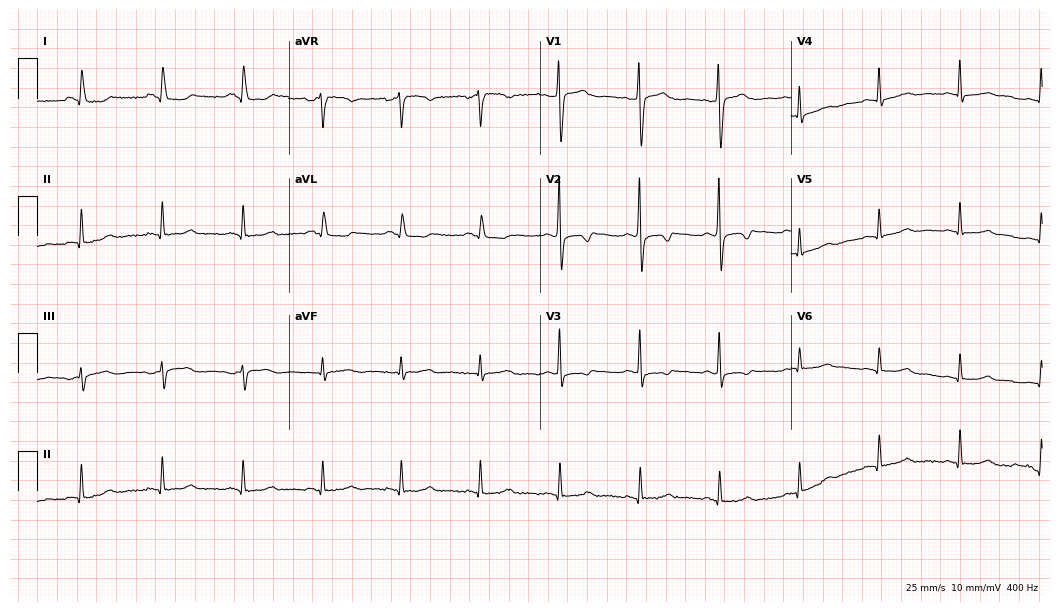
12-lead ECG from a 66-year-old female patient. No first-degree AV block, right bundle branch block (RBBB), left bundle branch block (LBBB), sinus bradycardia, atrial fibrillation (AF) or sinus tachycardia recorded for this tracing.